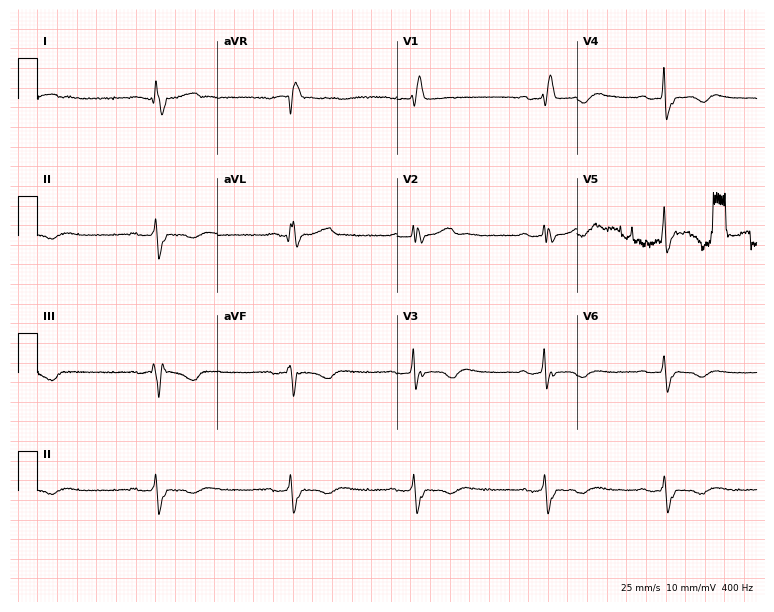
Electrocardiogram (7.3-second recording at 400 Hz), a female patient, 58 years old. Interpretation includes right bundle branch block (RBBB), sinus bradycardia (a sinus rate of 50 beats per minute or less).